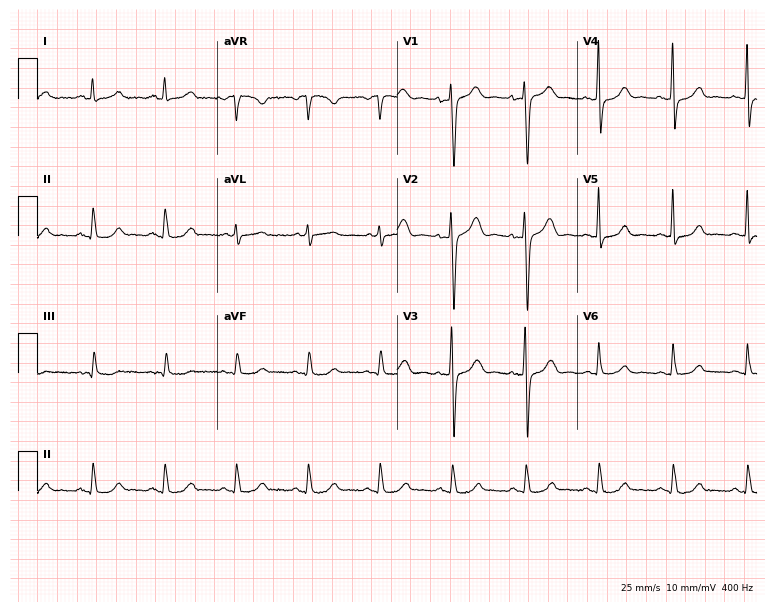
Resting 12-lead electrocardiogram (7.3-second recording at 400 Hz). Patient: a female, 40 years old. None of these six findings is recorded: first-degree AV block, right bundle branch block, left bundle branch block, sinus bradycardia, atrial fibrillation, sinus tachycardia.